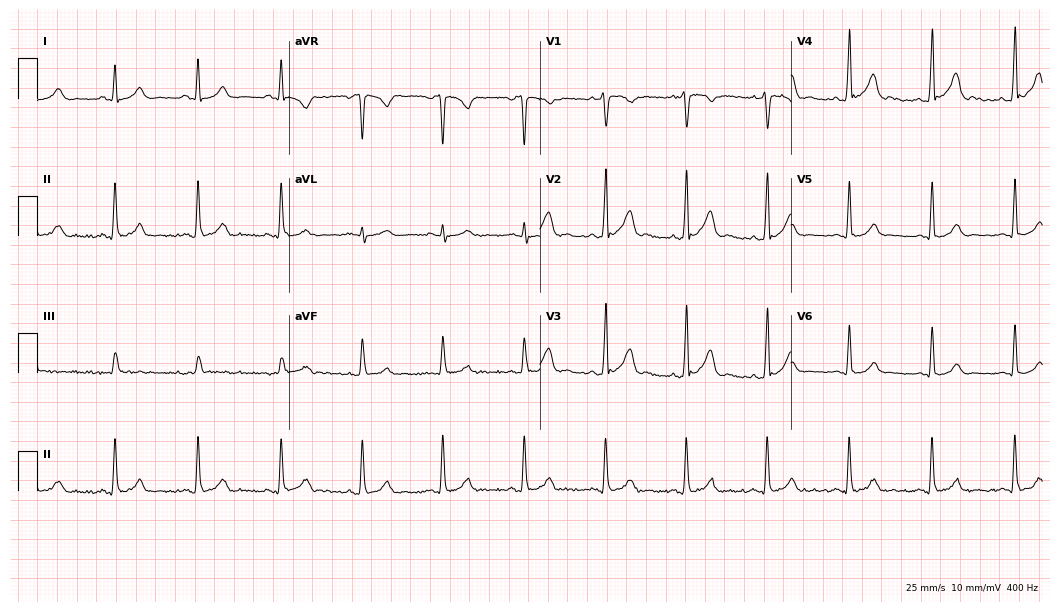
Standard 12-lead ECG recorded from a 24-year-old male patient (10.2-second recording at 400 Hz). Read as a normal ECG.